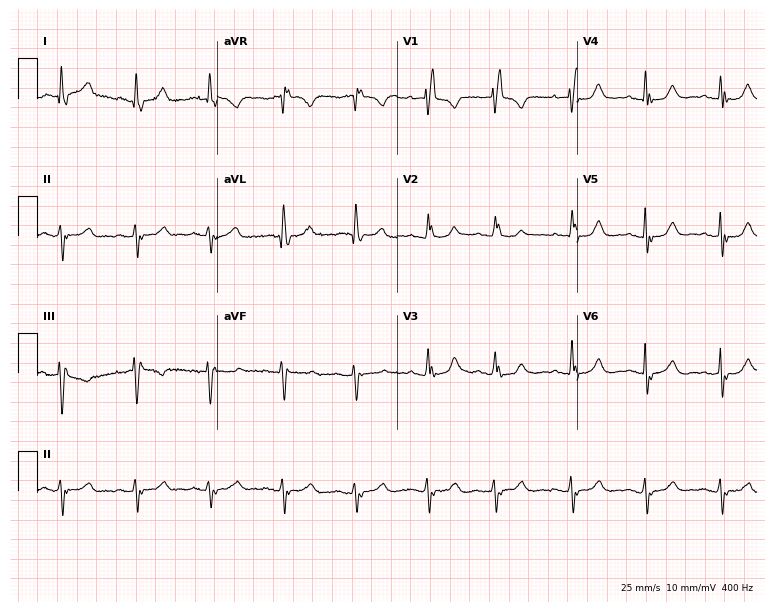
Electrocardiogram (7.3-second recording at 400 Hz), a woman, 77 years old. Interpretation includes right bundle branch block (RBBB).